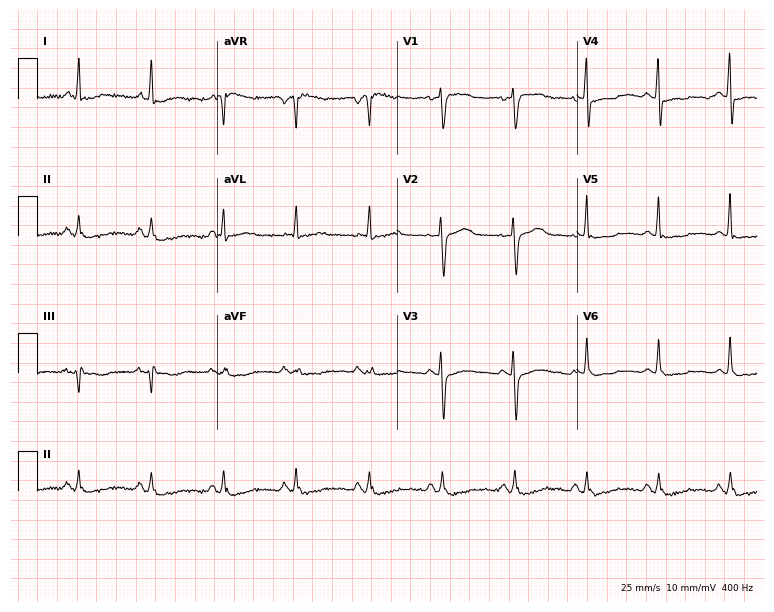
Electrocardiogram, a female, 62 years old. Of the six screened findings (first-degree AV block, right bundle branch block, left bundle branch block, sinus bradycardia, atrial fibrillation, sinus tachycardia), none is recorded.